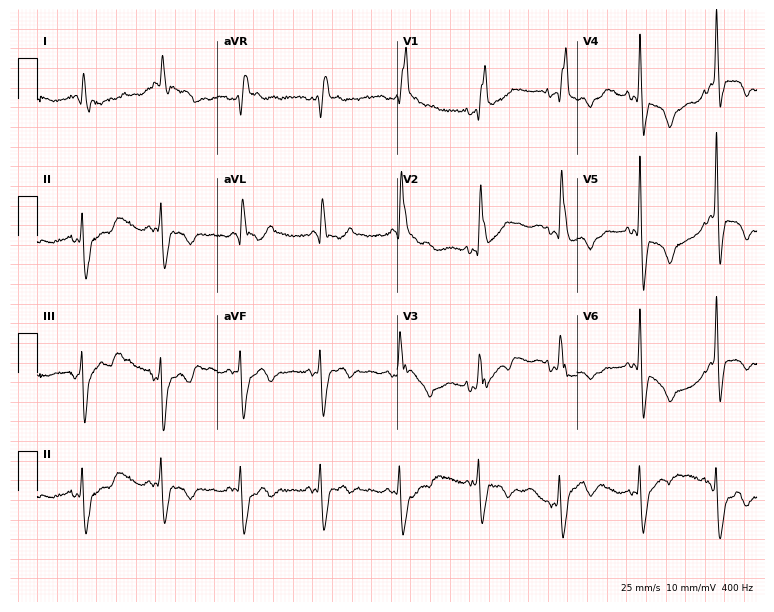
Electrocardiogram (7.3-second recording at 400 Hz), an 84-year-old female patient. Interpretation includes right bundle branch block (RBBB).